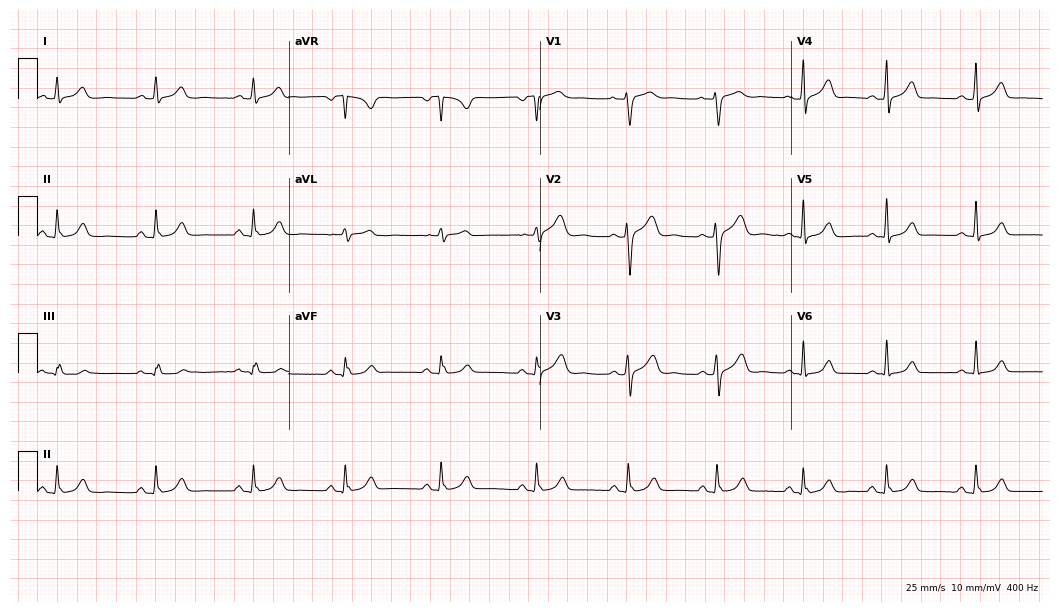
12-lead ECG from a woman, 40 years old (10.2-second recording at 400 Hz). No first-degree AV block, right bundle branch block (RBBB), left bundle branch block (LBBB), sinus bradycardia, atrial fibrillation (AF) or sinus tachycardia recorded for this tracing.